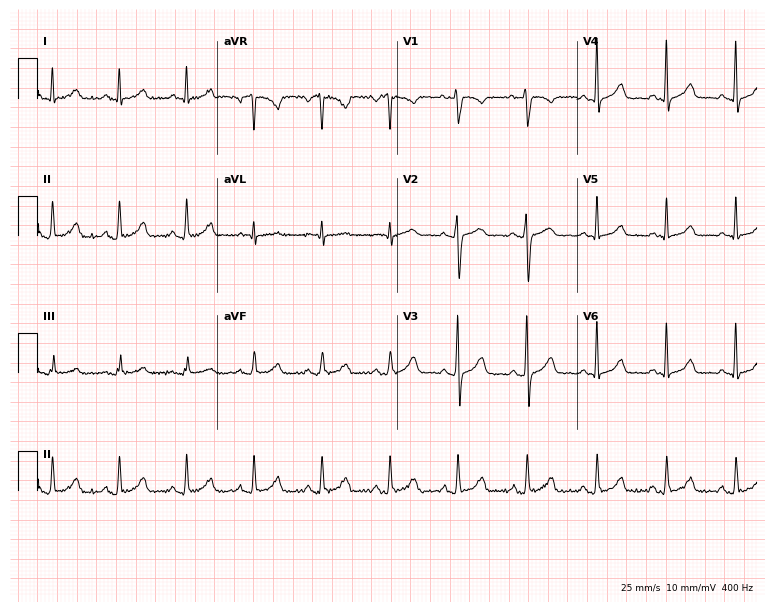
12-lead ECG (7.3-second recording at 400 Hz) from a 52-year-old female patient. Labelled as a normal ECG.